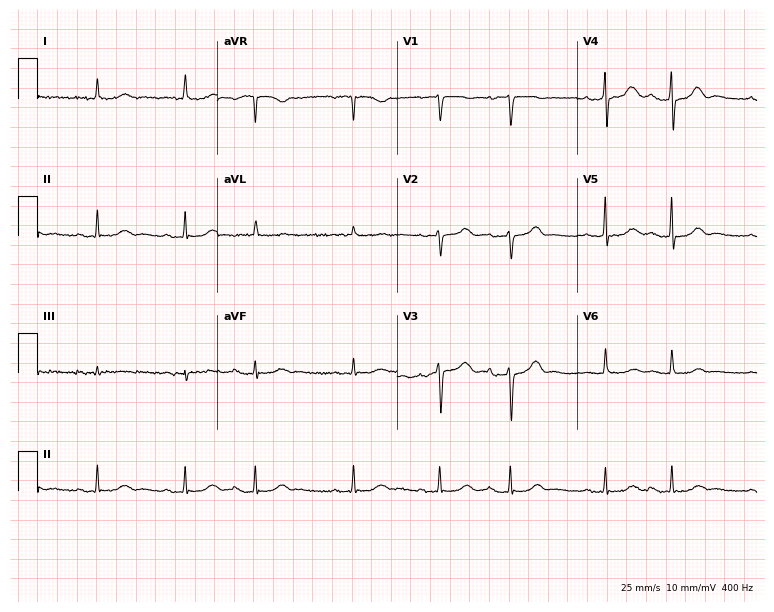
12-lead ECG (7.3-second recording at 400 Hz) from a female, 78 years old. Labelled as a normal ECG.